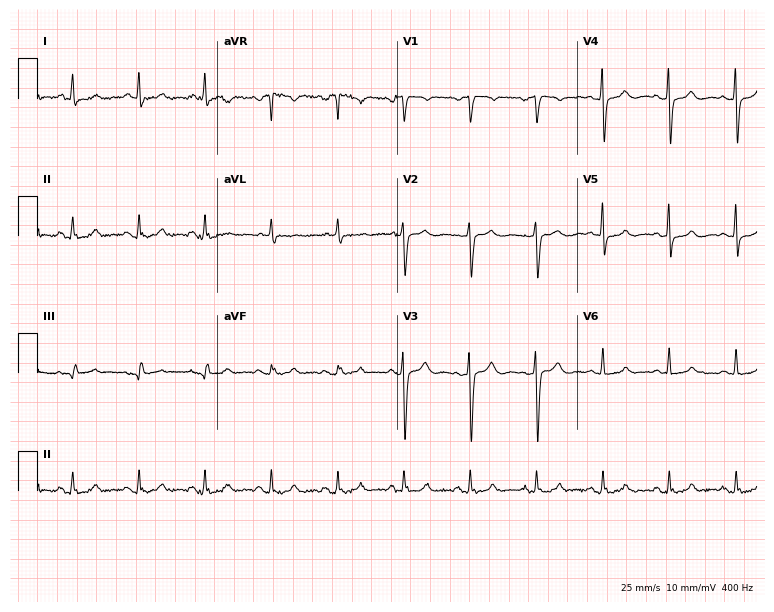
Resting 12-lead electrocardiogram (7.3-second recording at 400 Hz). Patient: a female, 52 years old. Read as a normal ECG.